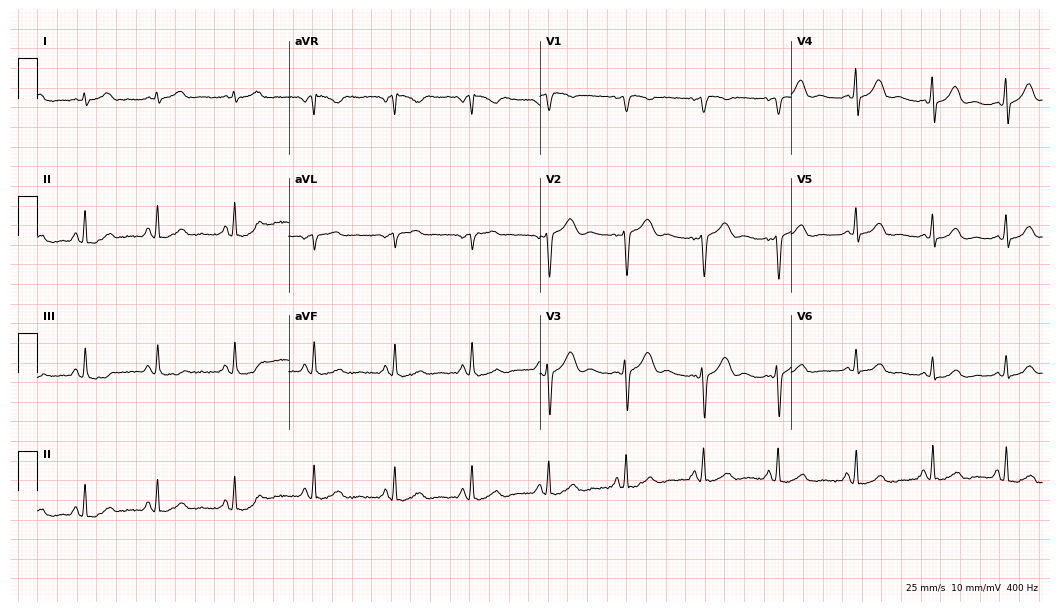
Resting 12-lead electrocardiogram (10.2-second recording at 400 Hz). Patient: a 32-year-old woman. Read as a normal ECG.